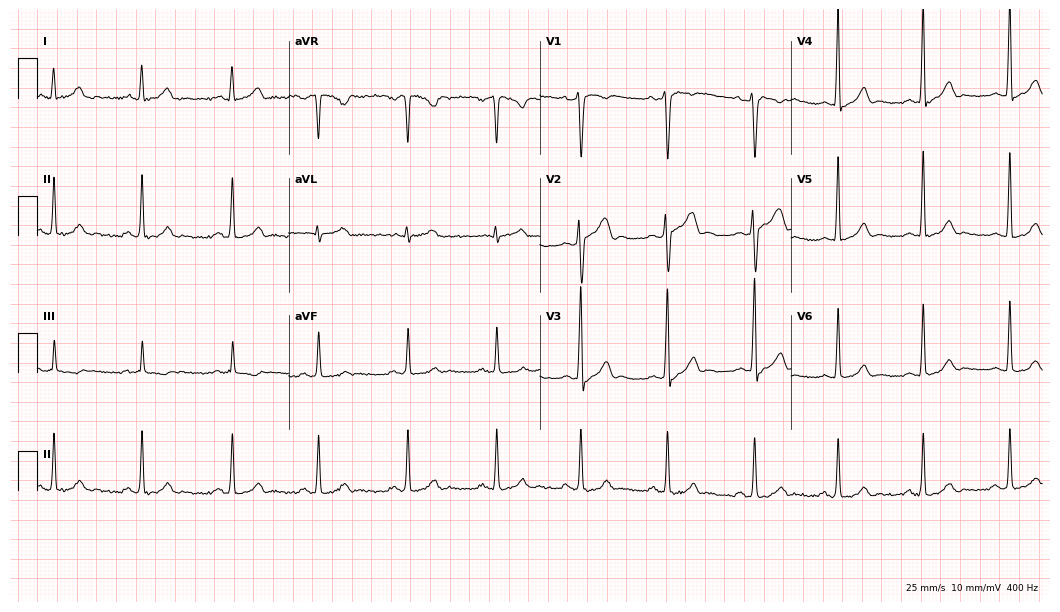
ECG (10.2-second recording at 400 Hz) — a 30-year-old male patient. Labelled as a normal ECG.